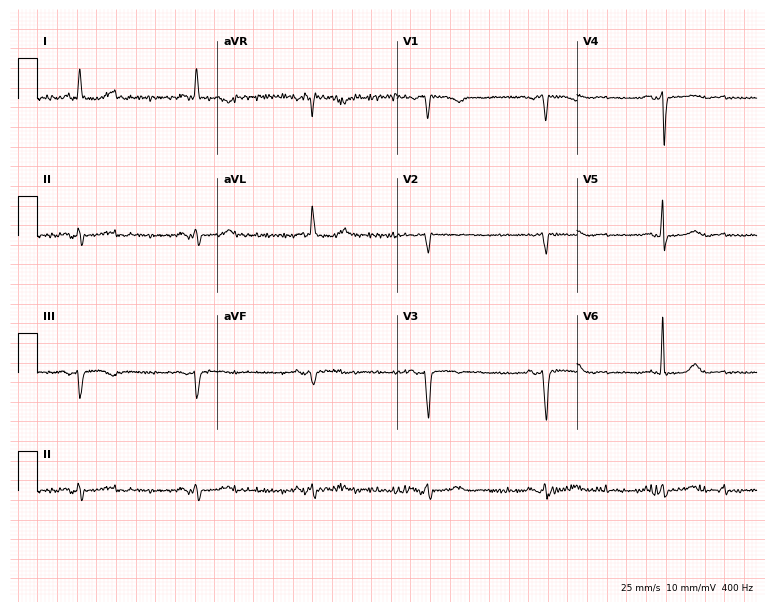
Standard 12-lead ECG recorded from a female, 80 years old (7.3-second recording at 400 Hz). None of these six findings is recorded: first-degree AV block, right bundle branch block, left bundle branch block, sinus bradycardia, atrial fibrillation, sinus tachycardia. Findings outside these six are not listed.